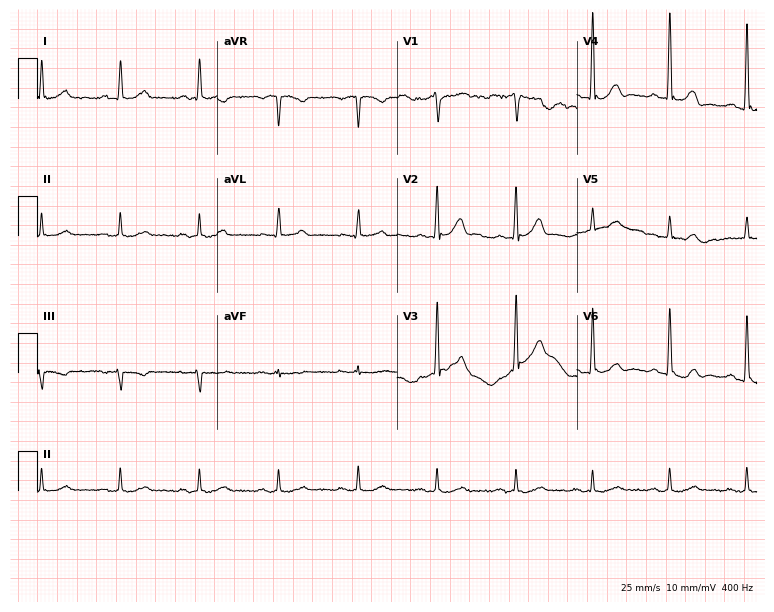
ECG (7.3-second recording at 400 Hz) — a man, 53 years old. Labelled as a normal ECG.